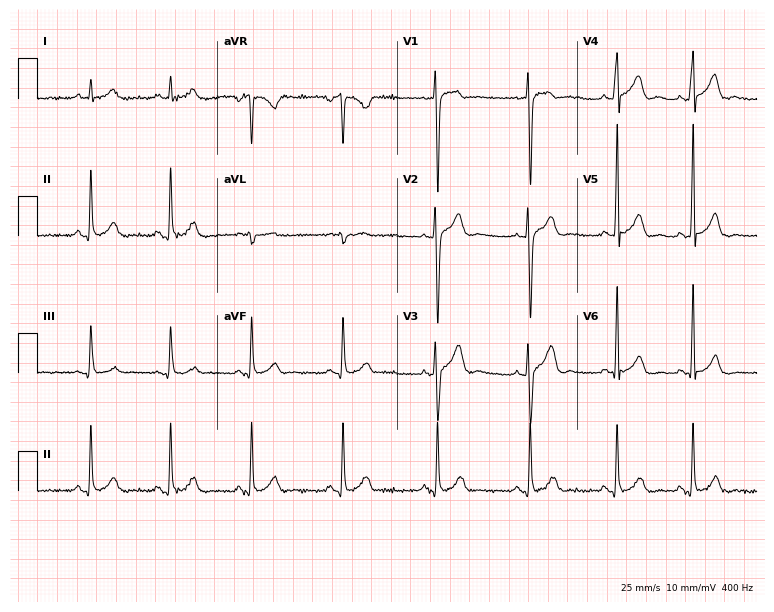
12-lead ECG from a male, 21 years old. Screened for six findings — first-degree AV block, right bundle branch block, left bundle branch block, sinus bradycardia, atrial fibrillation, sinus tachycardia — none is recorded.